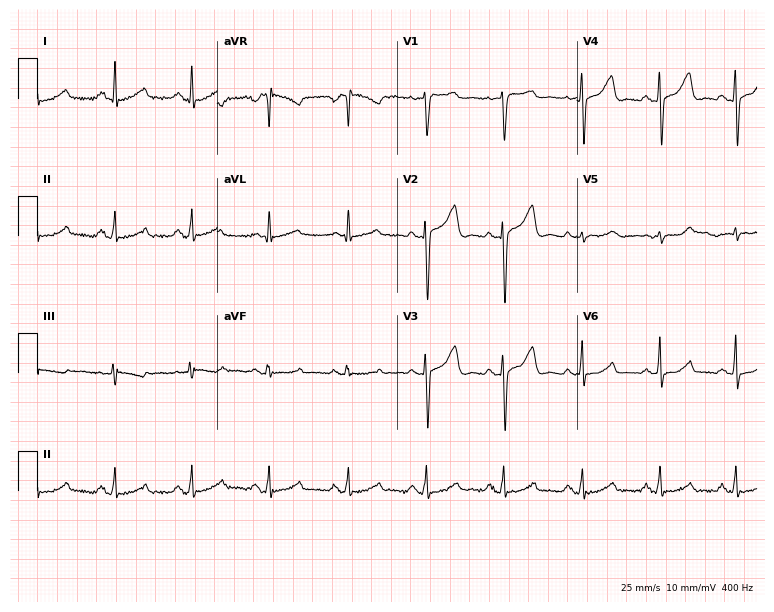
Standard 12-lead ECG recorded from a 44-year-old female patient (7.3-second recording at 400 Hz). Read as a normal ECG.